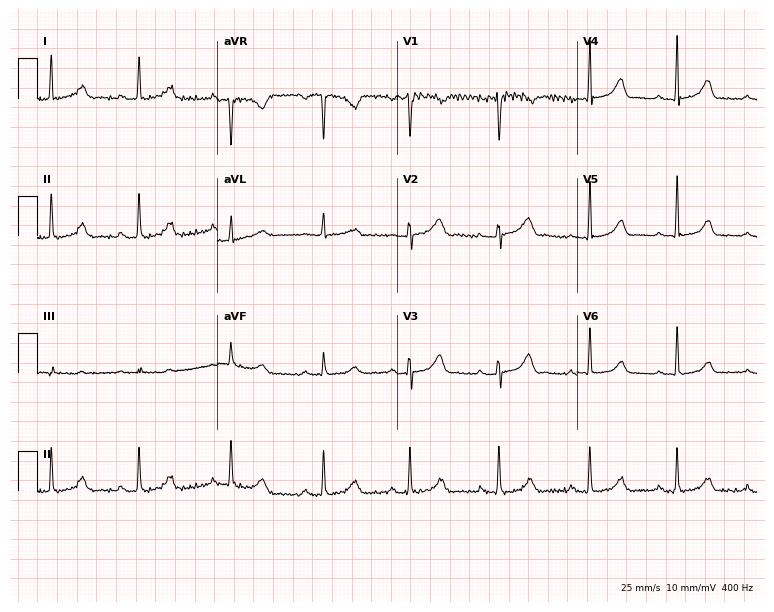
12-lead ECG from a female, 44 years old. Recorded interpretation: within normal limits.